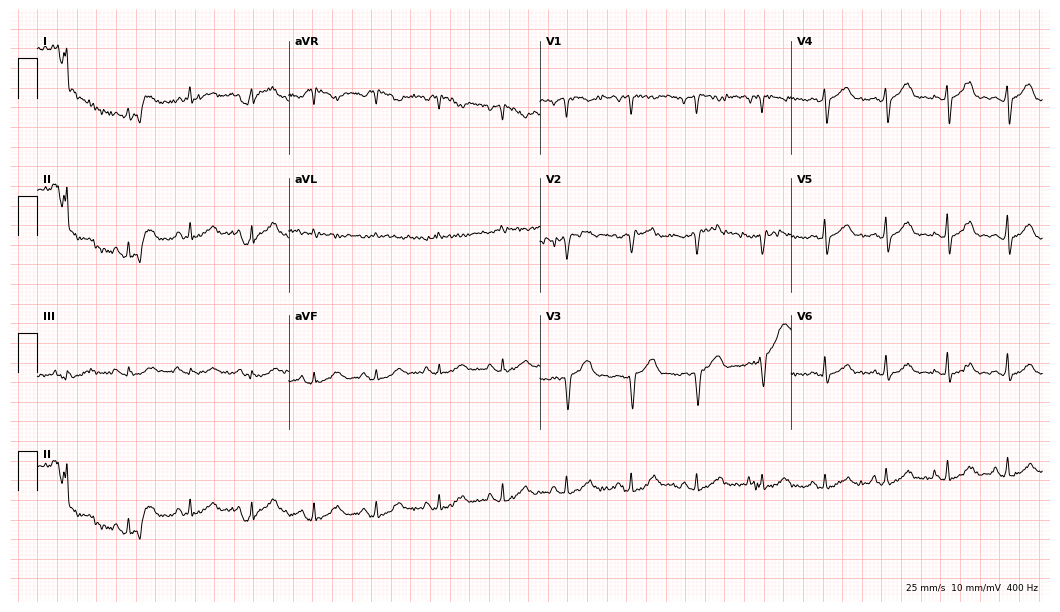
12-lead ECG from a 38-year-old female patient (10.2-second recording at 400 Hz). No first-degree AV block, right bundle branch block, left bundle branch block, sinus bradycardia, atrial fibrillation or sinus tachycardia recorded for this tracing.